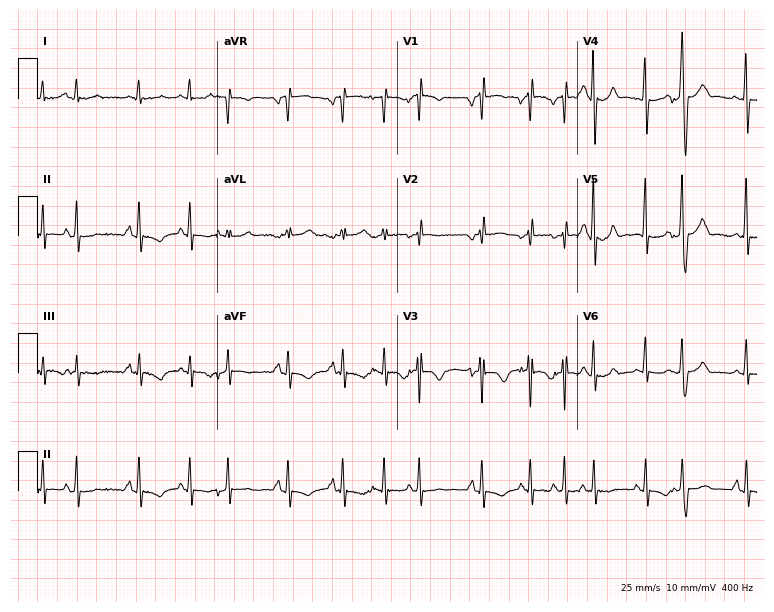
12-lead ECG (7.3-second recording at 400 Hz) from a man, 55 years old. Findings include sinus tachycardia (a sinus rate of 100 beats per minute or more).